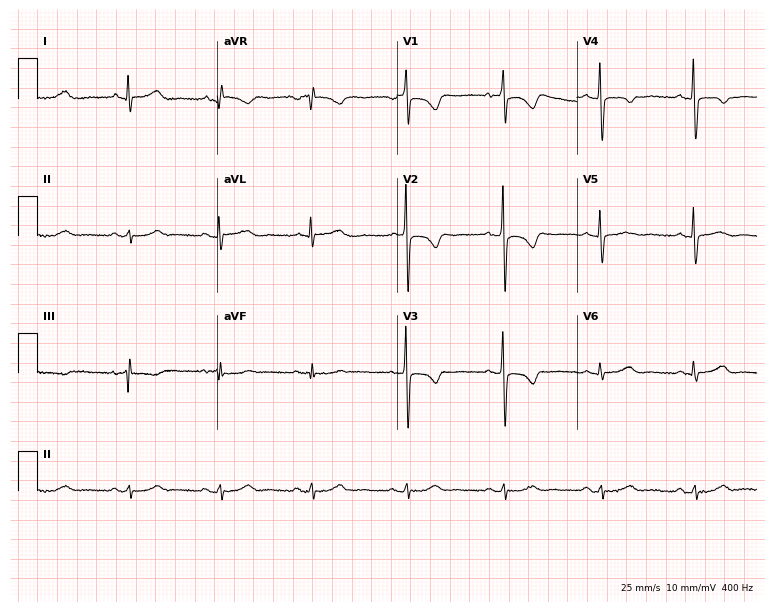
Resting 12-lead electrocardiogram (7.3-second recording at 400 Hz). Patient: a 77-year-old female. None of these six findings is recorded: first-degree AV block, right bundle branch block (RBBB), left bundle branch block (LBBB), sinus bradycardia, atrial fibrillation (AF), sinus tachycardia.